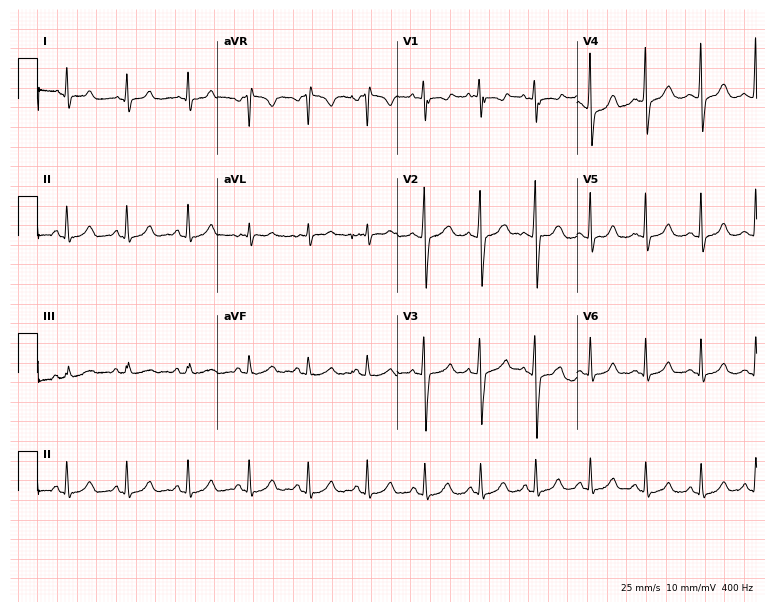
Resting 12-lead electrocardiogram (7.3-second recording at 400 Hz). Patient: a woman, 17 years old. Read as a normal ECG.